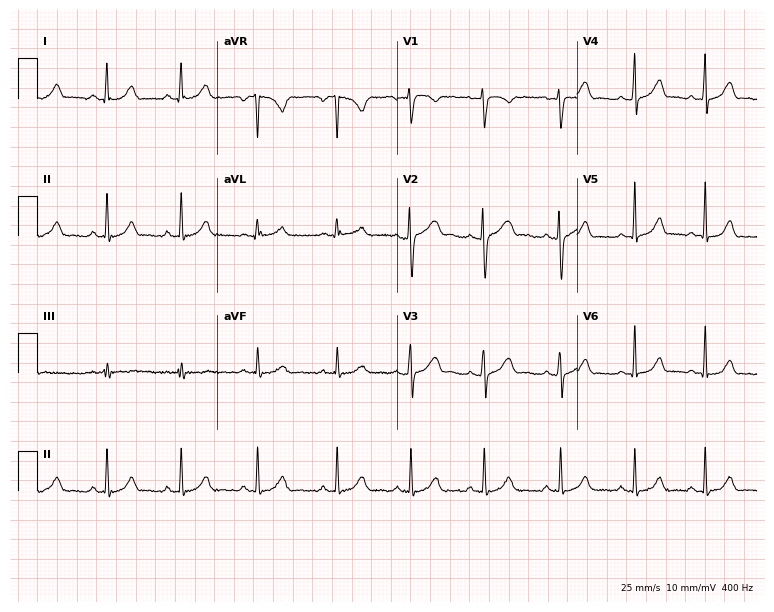
12-lead ECG (7.3-second recording at 400 Hz) from a woman, 21 years old. Labelled as a normal ECG.